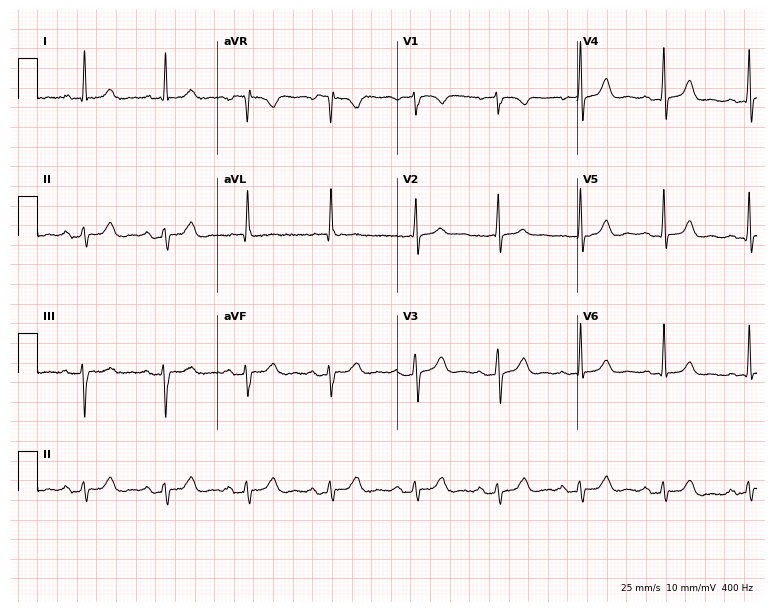
ECG — a female, 65 years old. Labelled as a normal ECG.